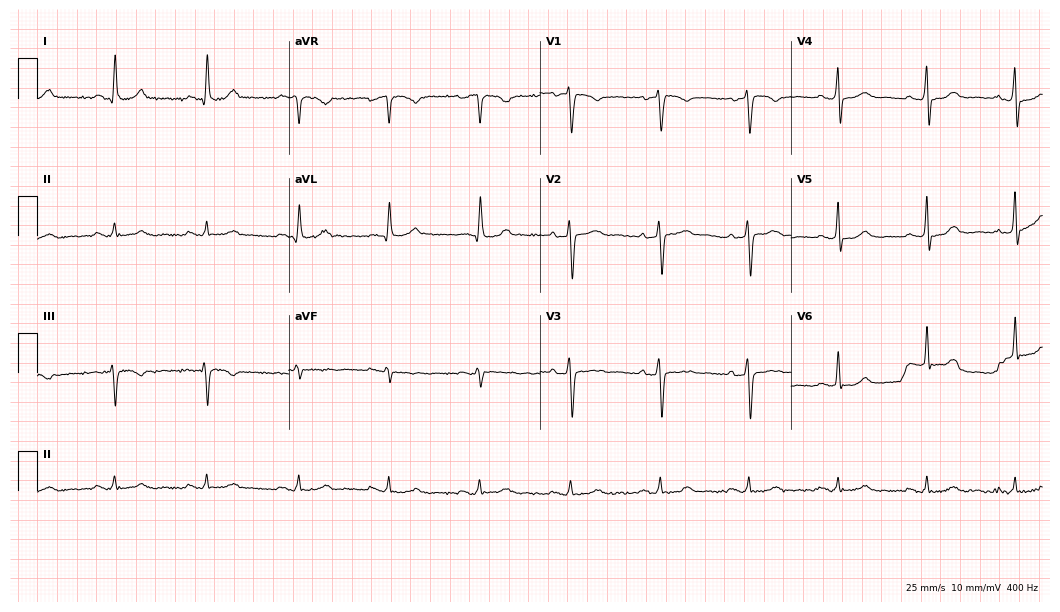
ECG — a 57-year-old female. Labelled as a normal ECG.